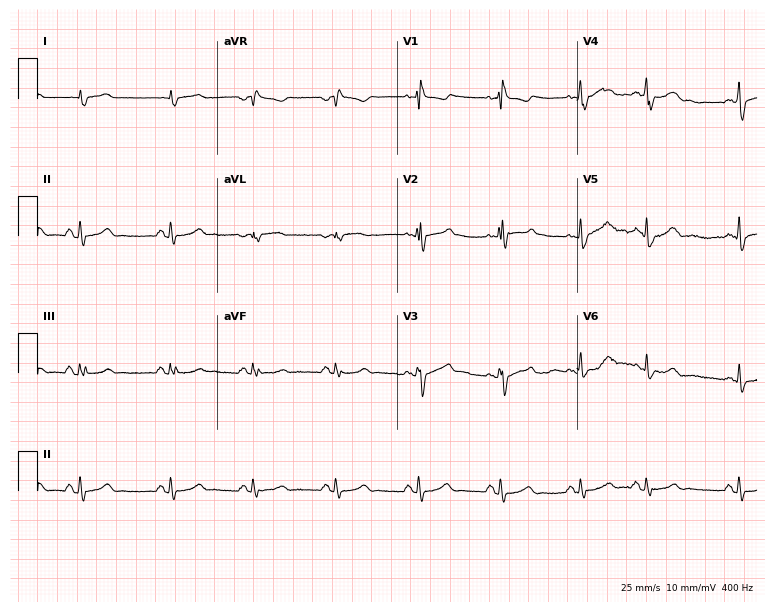
Electrocardiogram, a male, 63 years old. Of the six screened findings (first-degree AV block, right bundle branch block, left bundle branch block, sinus bradycardia, atrial fibrillation, sinus tachycardia), none is recorded. Only these six findings were labelled.